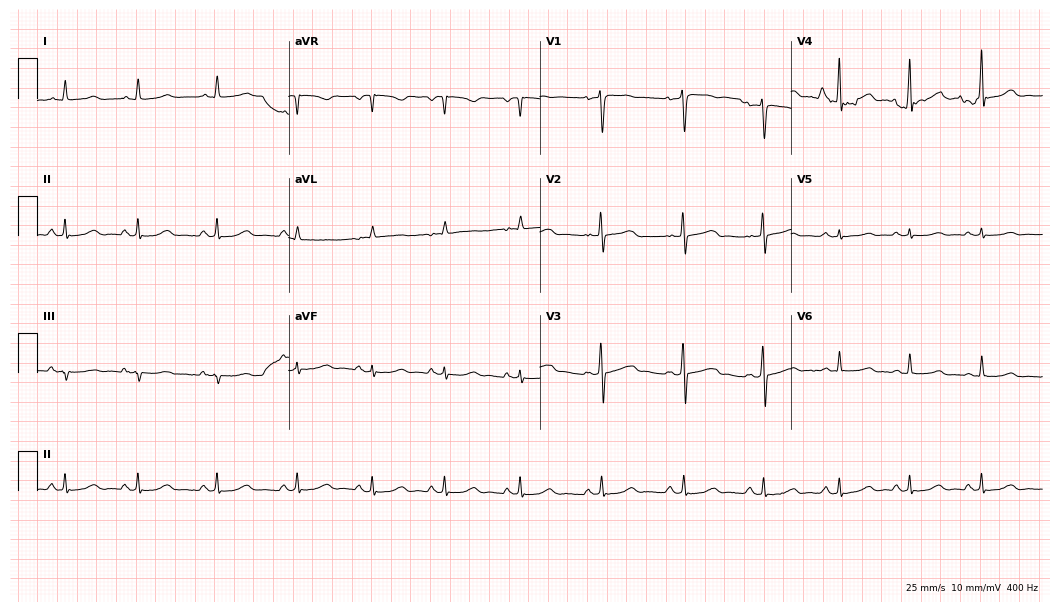
ECG — a 28-year-old female patient. Screened for six findings — first-degree AV block, right bundle branch block, left bundle branch block, sinus bradycardia, atrial fibrillation, sinus tachycardia — none is recorded. Only these six findings were labelled.